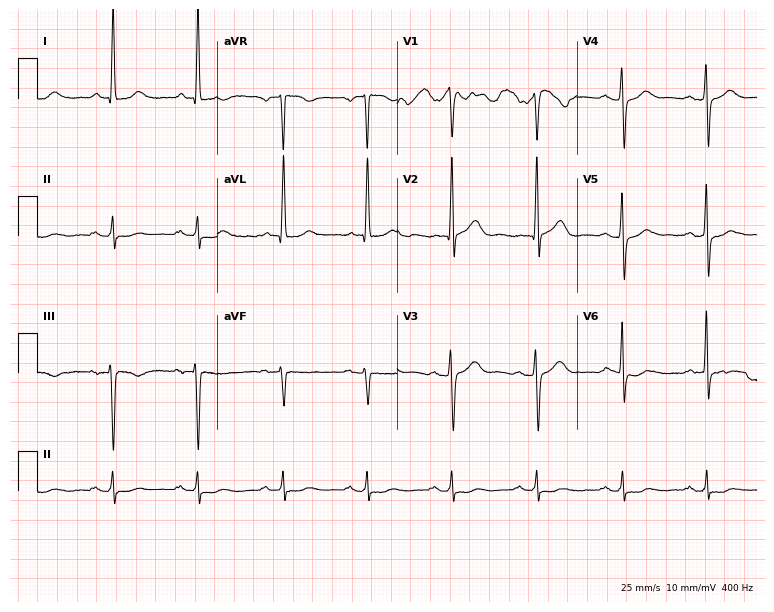
12-lead ECG from a male patient, 68 years old. No first-degree AV block, right bundle branch block, left bundle branch block, sinus bradycardia, atrial fibrillation or sinus tachycardia recorded for this tracing.